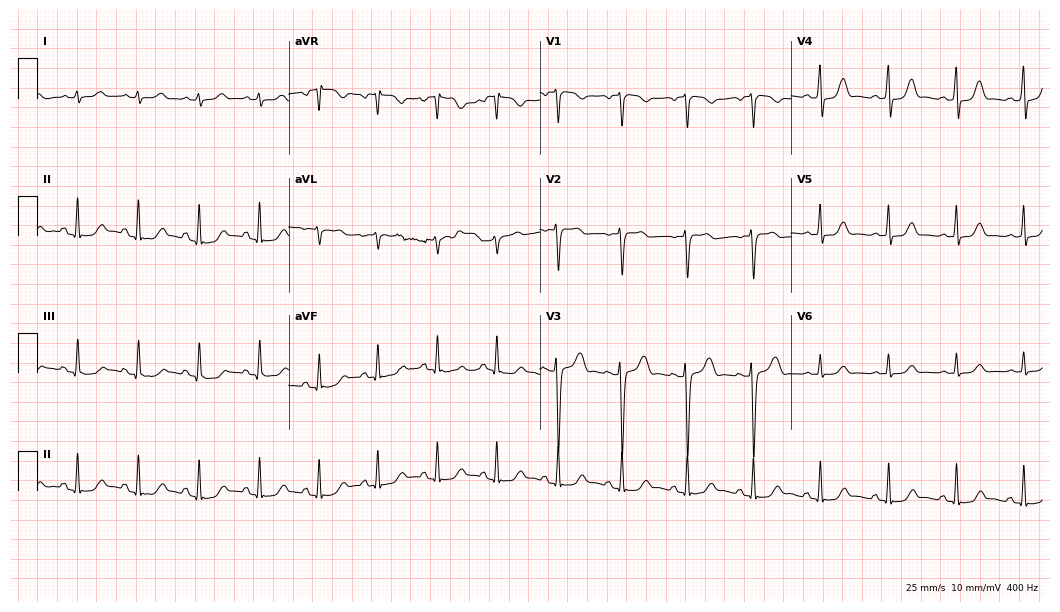
Electrocardiogram, a female patient, 34 years old. Overall reading on record: normal ECG.